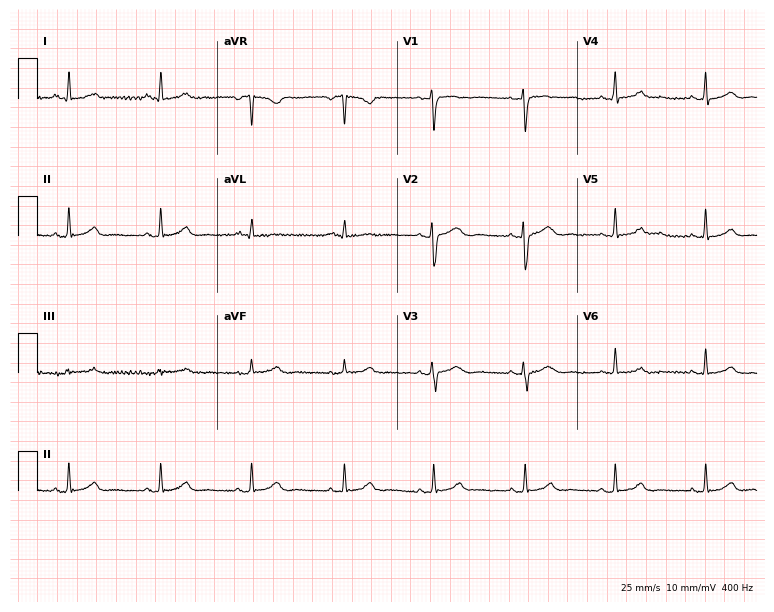
12-lead ECG (7.3-second recording at 400 Hz) from a woman, 40 years old. Screened for six findings — first-degree AV block, right bundle branch block, left bundle branch block, sinus bradycardia, atrial fibrillation, sinus tachycardia — none is recorded.